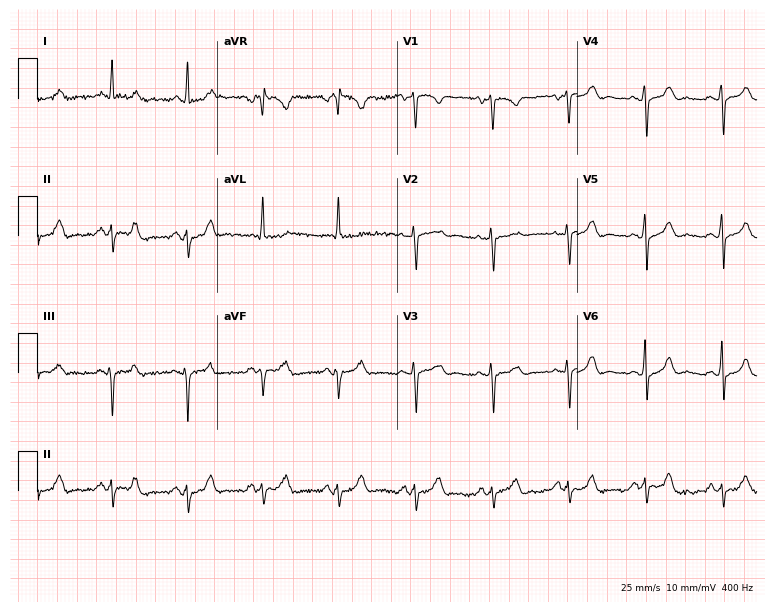
12-lead ECG from a 37-year-old female. Screened for six findings — first-degree AV block, right bundle branch block, left bundle branch block, sinus bradycardia, atrial fibrillation, sinus tachycardia — none is recorded. Findings outside these six are not listed.